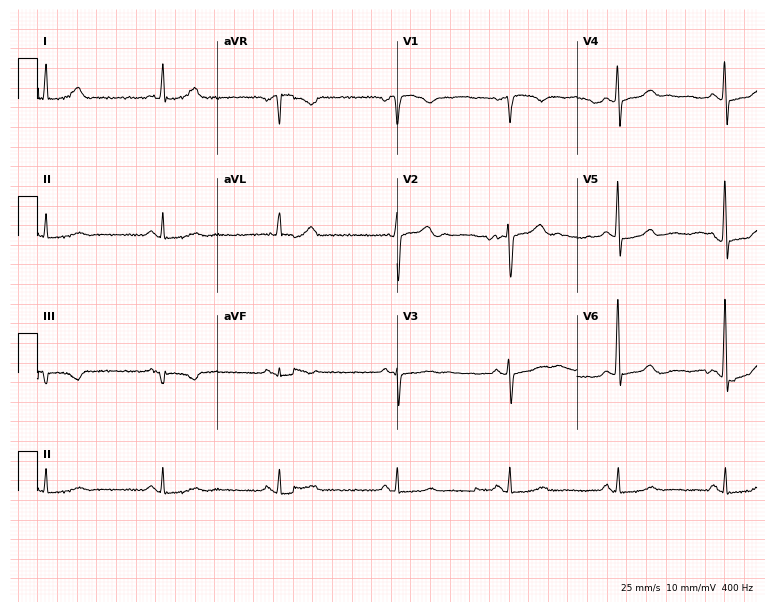
12-lead ECG from a 70-year-old man. No first-degree AV block, right bundle branch block (RBBB), left bundle branch block (LBBB), sinus bradycardia, atrial fibrillation (AF) or sinus tachycardia recorded for this tracing. Other findings, if any, are not listed.